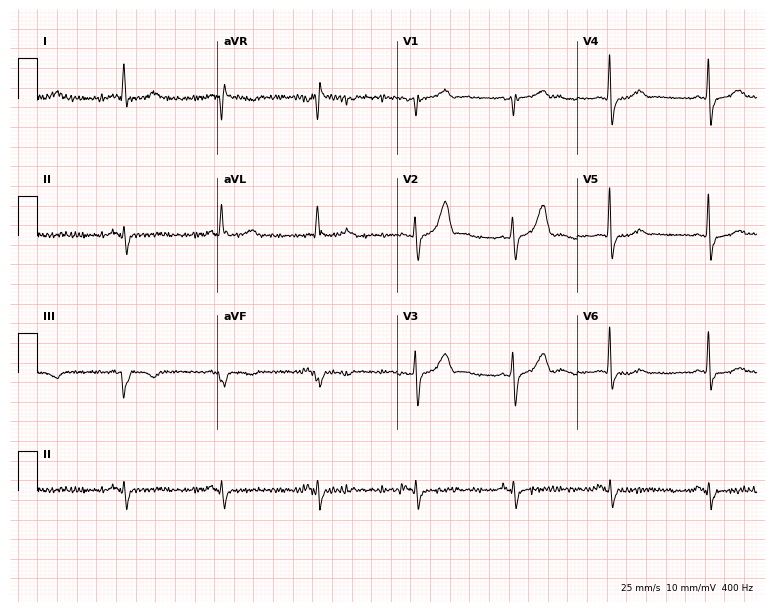
Electrocardiogram (7.3-second recording at 400 Hz), a 54-year-old man. Of the six screened findings (first-degree AV block, right bundle branch block (RBBB), left bundle branch block (LBBB), sinus bradycardia, atrial fibrillation (AF), sinus tachycardia), none is recorded. Other findings, if any, are not listed.